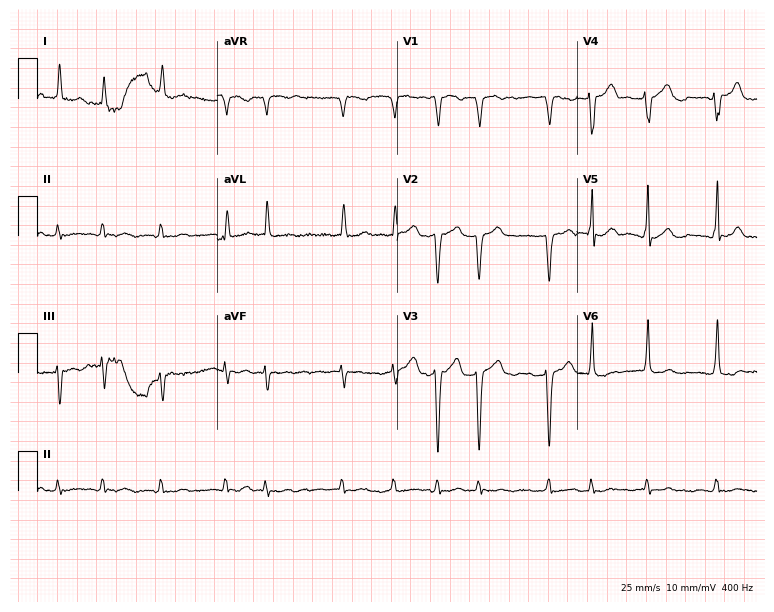
12-lead ECG from an 83-year-old man. Shows atrial fibrillation (AF).